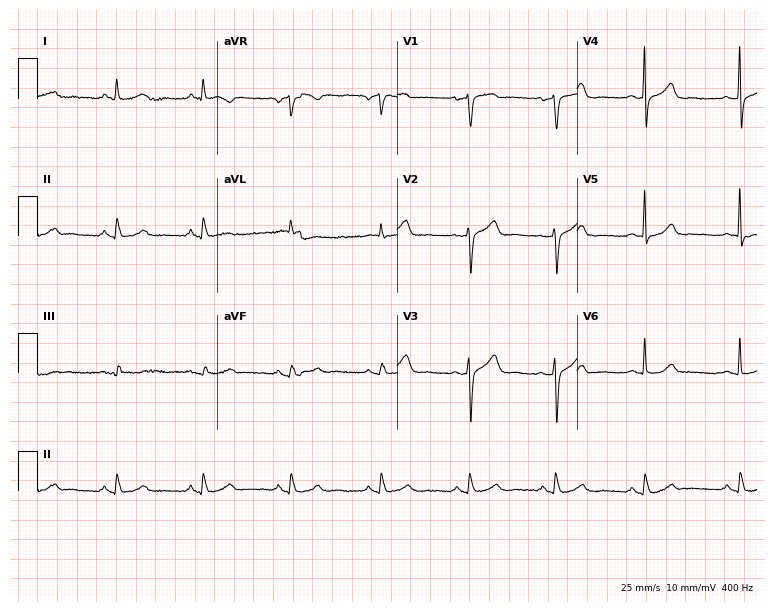
Resting 12-lead electrocardiogram. Patient: a 59-year-old female. None of these six findings is recorded: first-degree AV block, right bundle branch block, left bundle branch block, sinus bradycardia, atrial fibrillation, sinus tachycardia. Only these six findings were labelled.